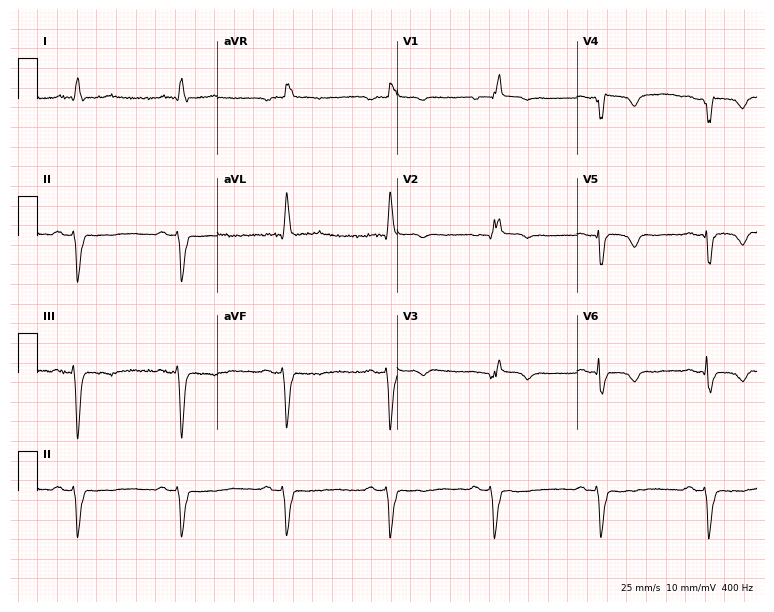
12-lead ECG from a man, 77 years old (7.3-second recording at 400 Hz). Shows right bundle branch block.